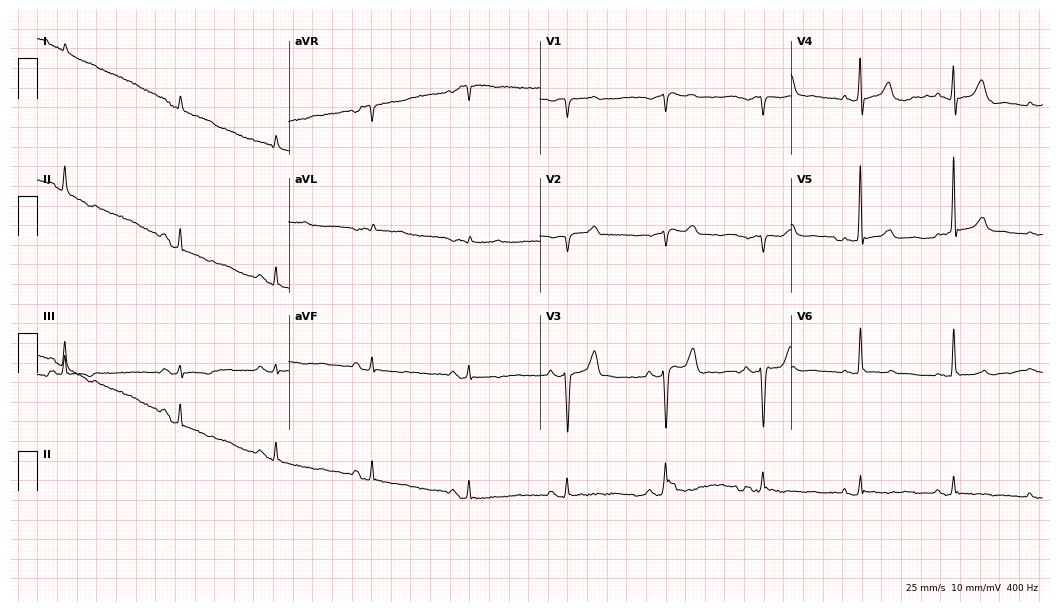
12-lead ECG from a male, 75 years old. No first-degree AV block, right bundle branch block (RBBB), left bundle branch block (LBBB), sinus bradycardia, atrial fibrillation (AF) or sinus tachycardia recorded for this tracing.